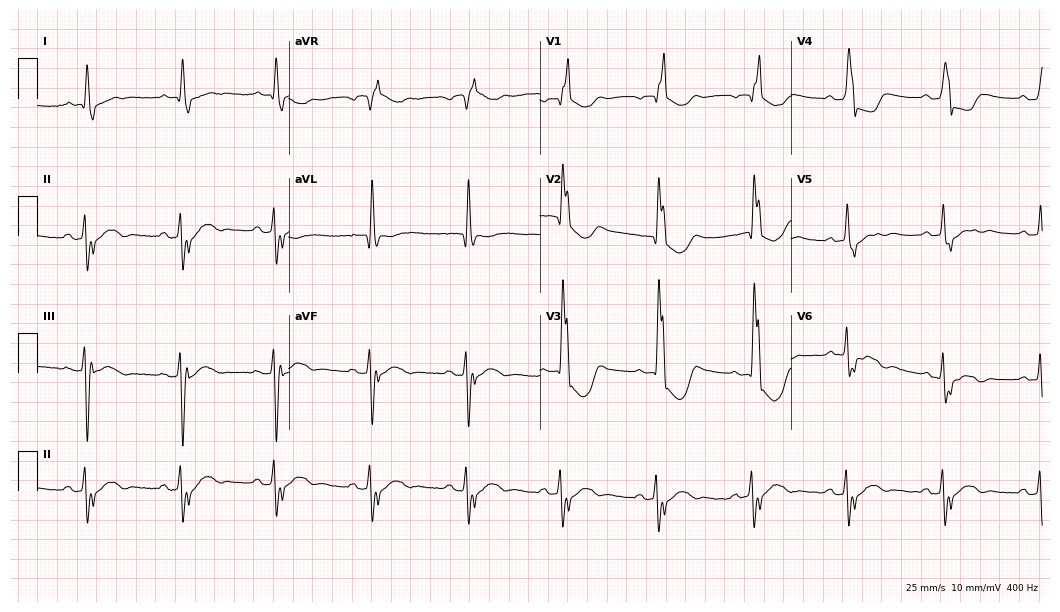
12-lead ECG from a 77-year-old female patient (10.2-second recording at 400 Hz). Shows right bundle branch block.